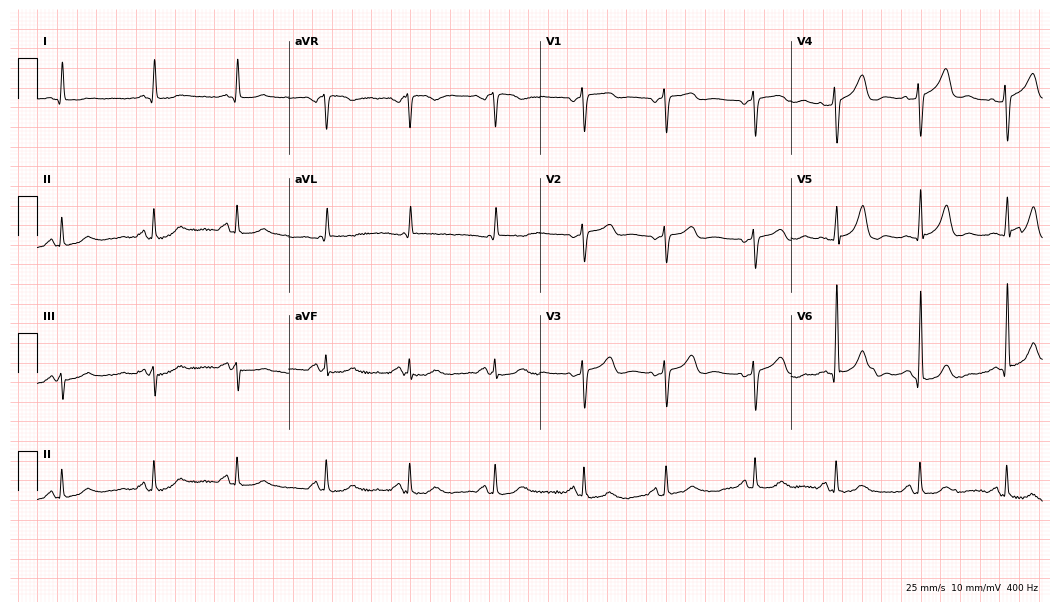
ECG — a 58-year-old woman. Labelled as a normal ECG.